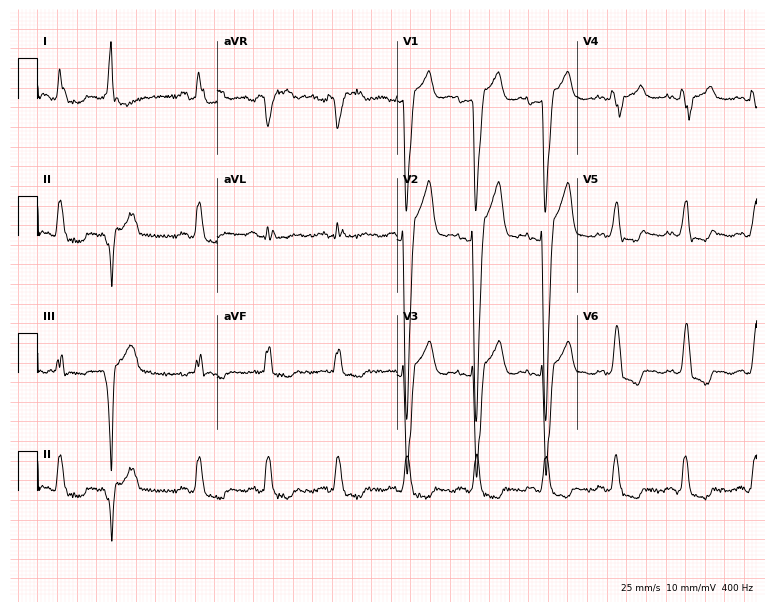
Electrocardiogram (7.3-second recording at 400 Hz), a male patient, 80 years old. Interpretation includes left bundle branch block.